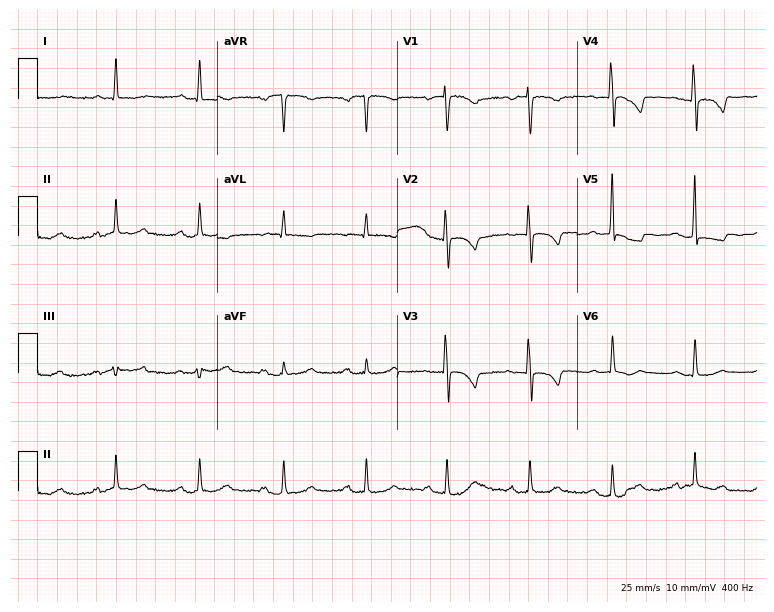
Resting 12-lead electrocardiogram. Patient: a woman, 59 years old. None of these six findings is recorded: first-degree AV block, right bundle branch block, left bundle branch block, sinus bradycardia, atrial fibrillation, sinus tachycardia. Only these six findings were labelled.